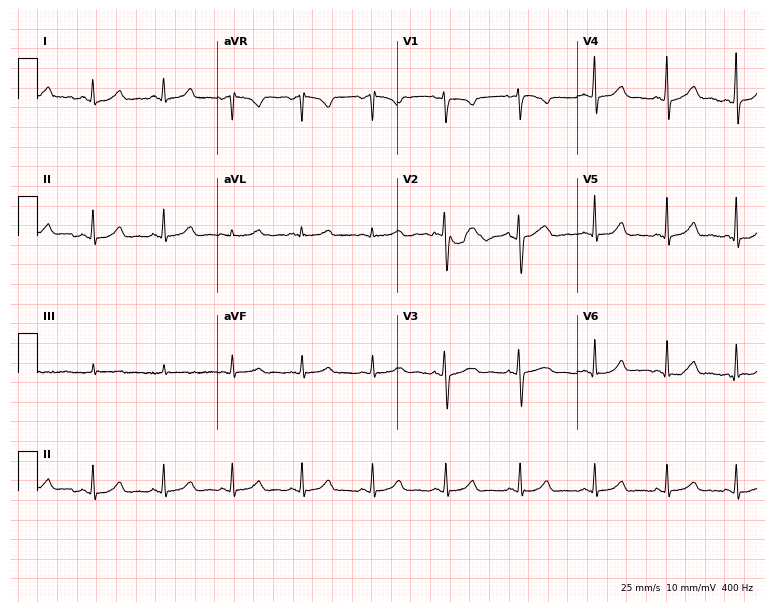
Resting 12-lead electrocardiogram (7.3-second recording at 400 Hz). Patient: a female, 31 years old. Read as a normal ECG.